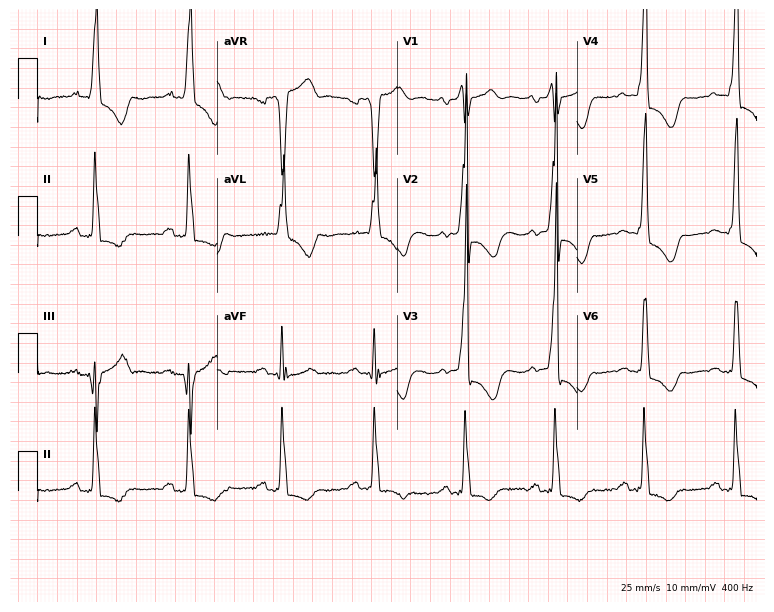
Electrocardiogram, a 66-year-old female patient. Interpretation includes first-degree AV block, left bundle branch block.